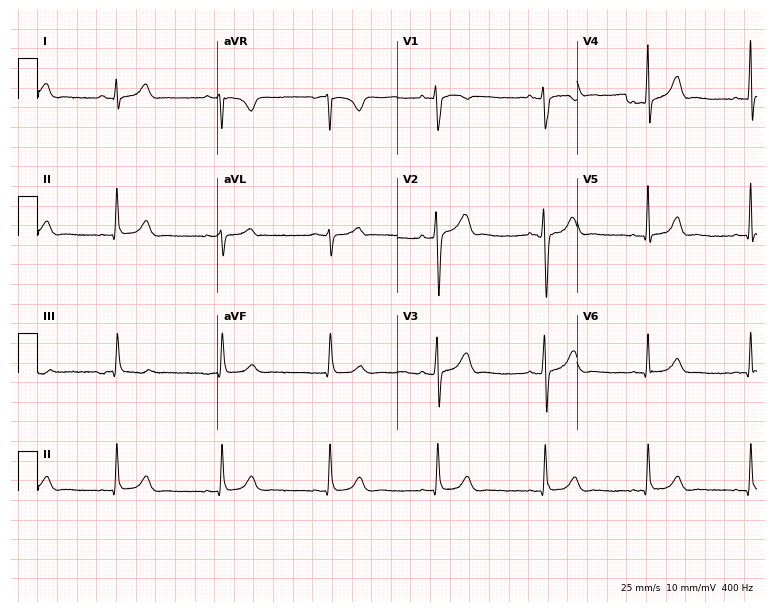
Standard 12-lead ECG recorded from a 34-year-old male patient (7.3-second recording at 400 Hz). None of these six findings is recorded: first-degree AV block, right bundle branch block (RBBB), left bundle branch block (LBBB), sinus bradycardia, atrial fibrillation (AF), sinus tachycardia.